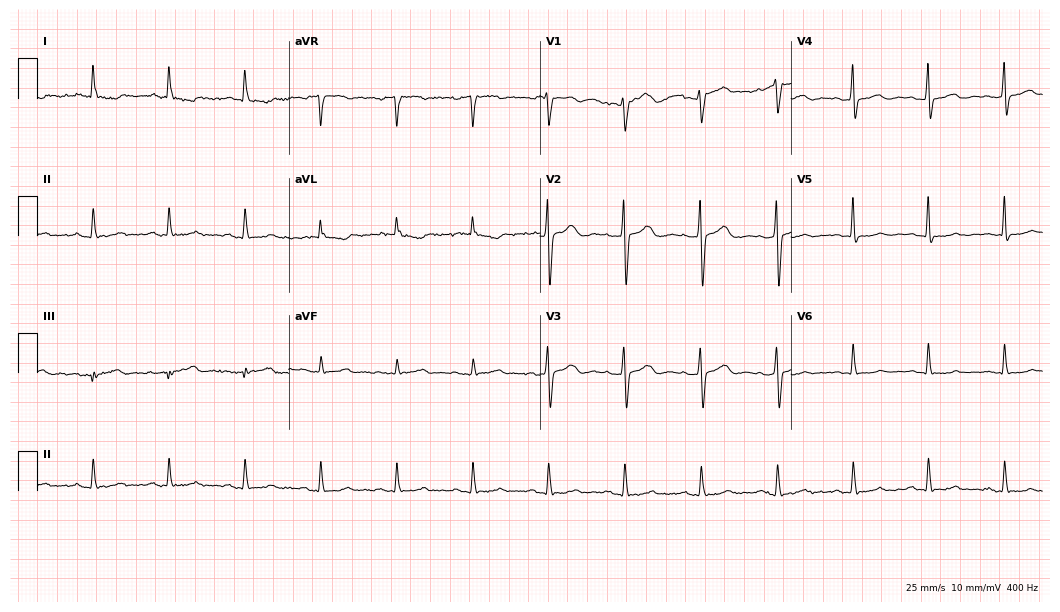
12-lead ECG from a female patient, 68 years old. Screened for six findings — first-degree AV block, right bundle branch block (RBBB), left bundle branch block (LBBB), sinus bradycardia, atrial fibrillation (AF), sinus tachycardia — none is recorded.